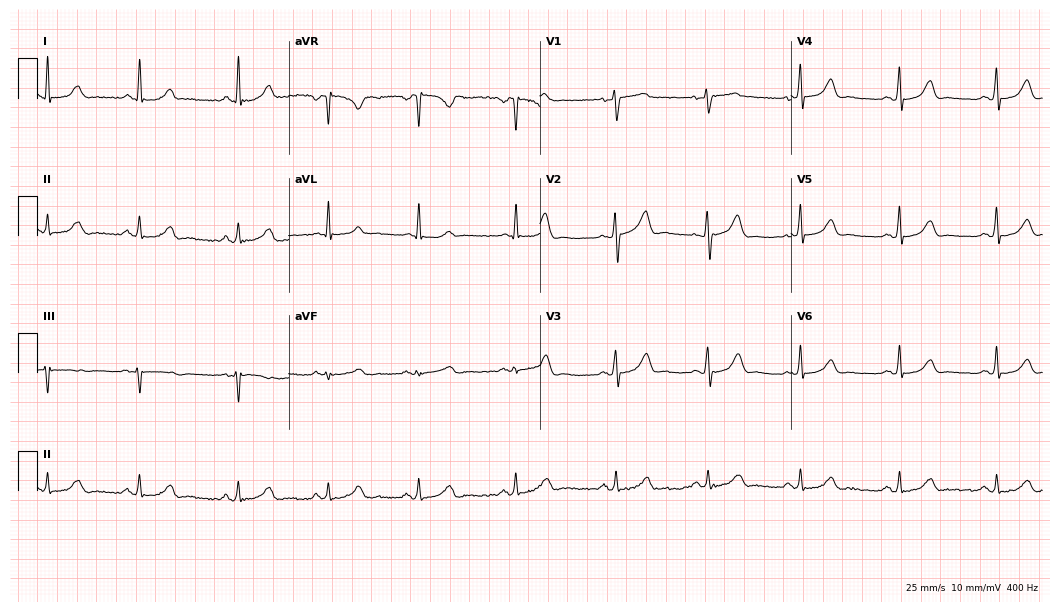
Electrocardiogram, a female patient, 46 years old. Overall reading on record: normal ECG.